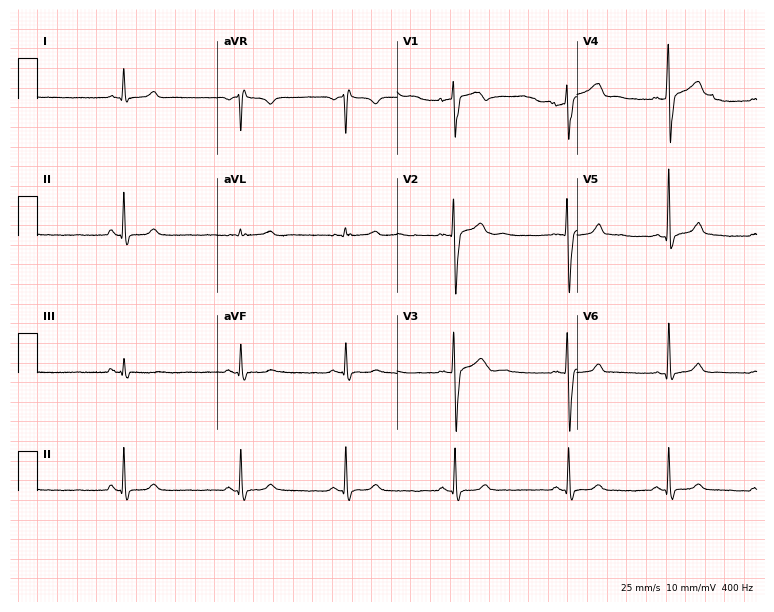
12-lead ECG from a male patient, 23 years old. Recorded interpretation: within normal limits.